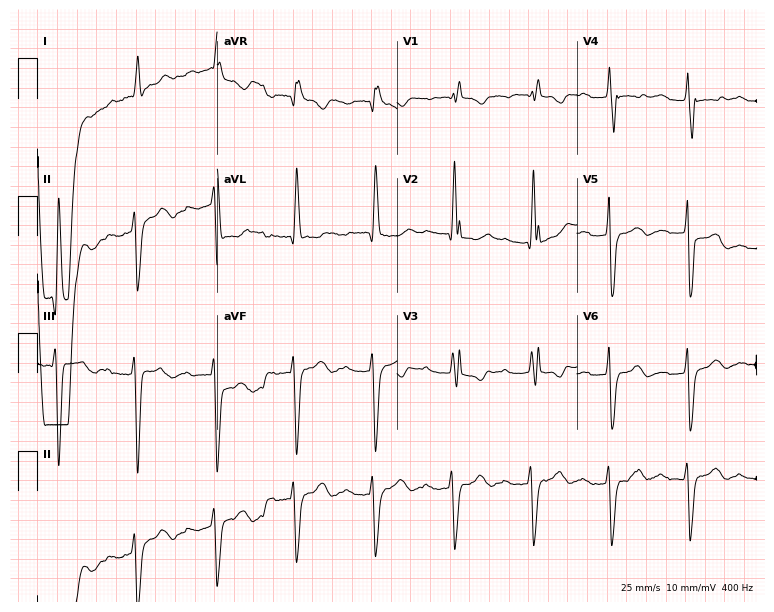
12-lead ECG (7.3-second recording at 400 Hz) from an 82-year-old female patient. Findings include first-degree AV block, right bundle branch block (RBBB).